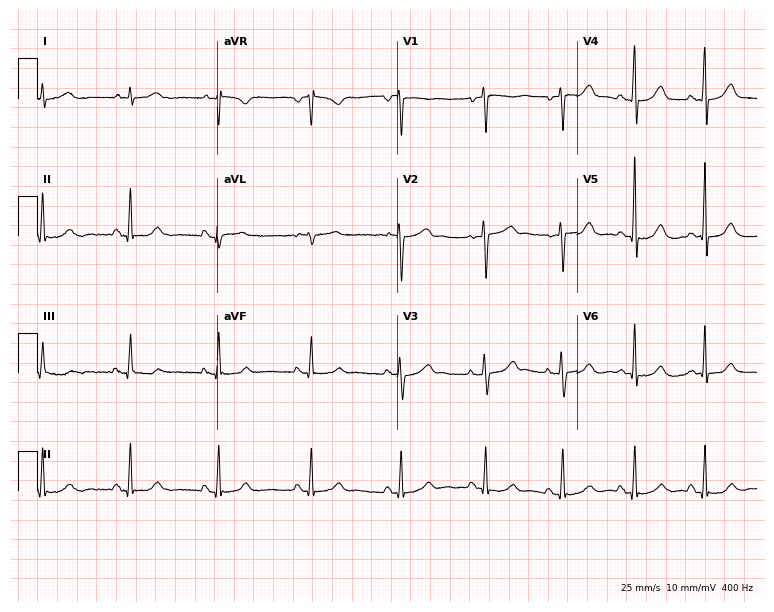
Resting 12-lead electrocardiogram (7.3-second recording at 400 Hz). Patient: a male, 43 years old. Read as a normal ECG.